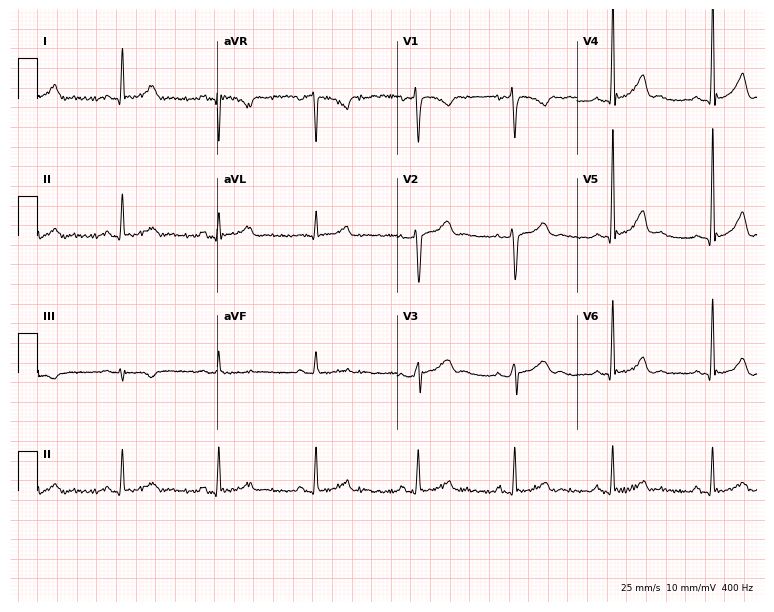
12-lead ECG from a male patient, 28 years old. Labelled as a normal ECG.